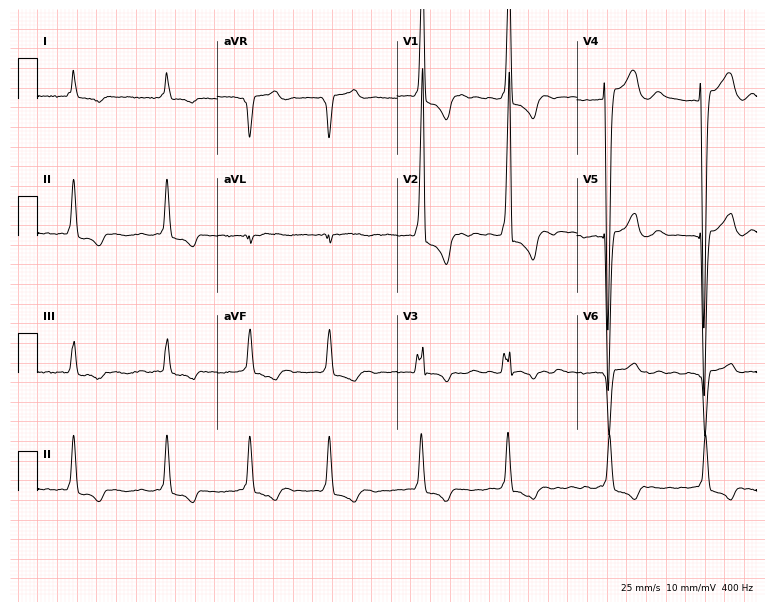
Standard 12-lead ECG recorded from a 51-year-old female patient. None of these six findings is recorded: first-degree AV block, right bundle branch block, left bundle branch block, sinus bradycardia, atrial fibrillation, sinus tachycardia.